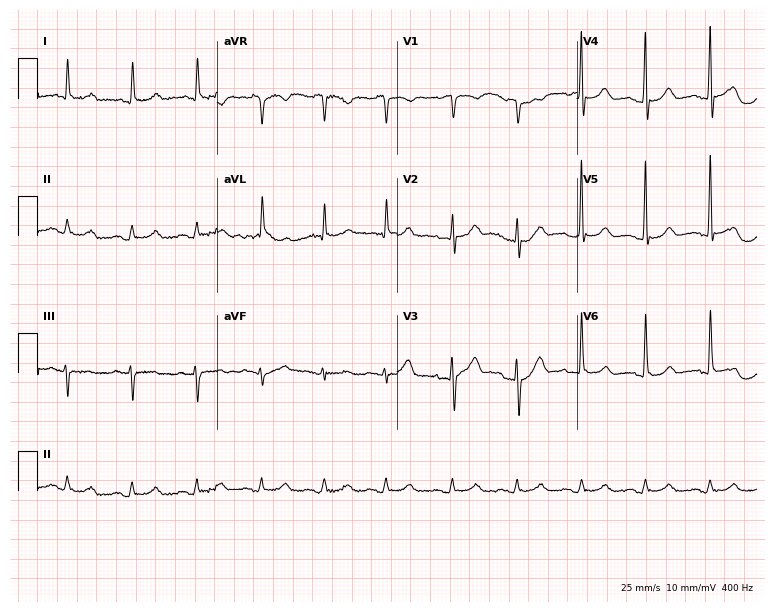
Standard 12-lead ECG recorded from a 74-year-old woman (7.3-second recording at 400 Hz). None of these six findings is recorded: first-degree AV block, right bundle branch block, left bundle branch block, sinus bradycardia, atrial fibrillation, sinus tachycardia. Findings outside these six are not listed.